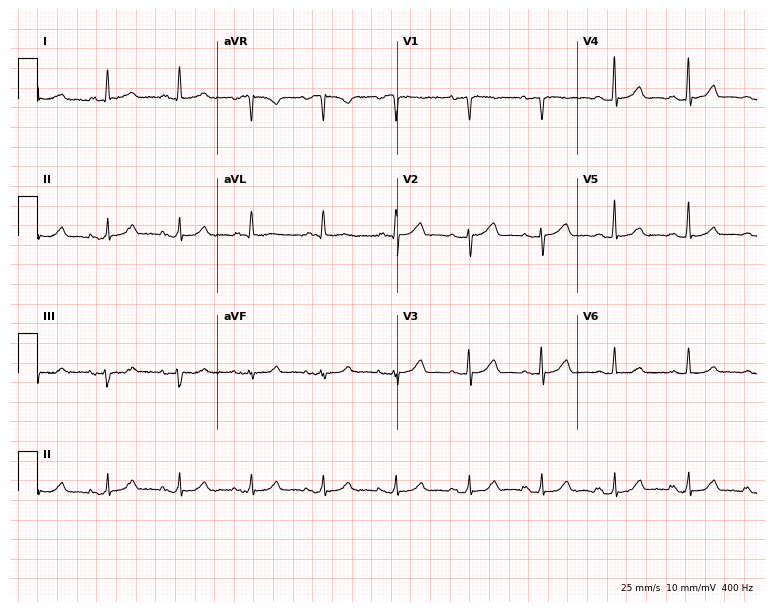
Resting 12-lead electrocardiogram. Patient: a 72-year-old female. Read as a normal ECG.